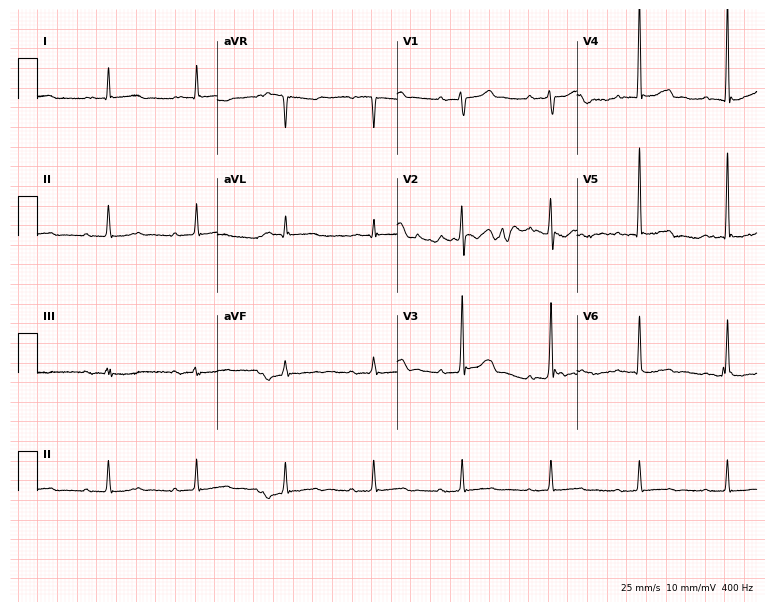
12-lead ECG (7.3-second recording at 400 Hz) from a 71-year-old man. Screened for six findings — first-degree AV block, right bundle branch block, left bundle branch block, sinus bradycardia, atrial fibrillation, sinus tachycardia — none is recorded.